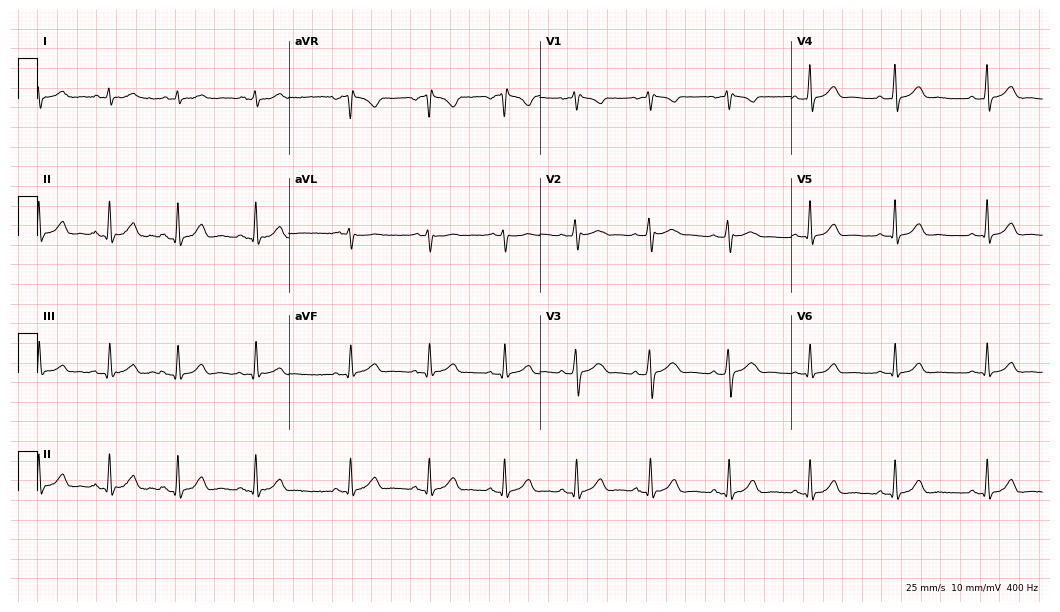
Standard 12-lead ECG recorded from a 24-year-old woman (10.2-second recording at 400 Hz). Read as a normal ECG.